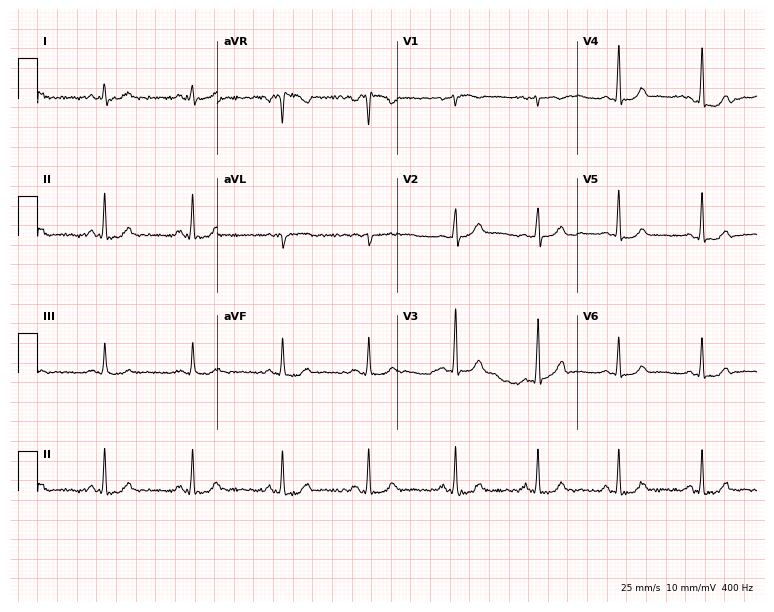
Resting 12-lead electrocardiogram. Patient: a 54-year-old male. Read as a normal ECG.